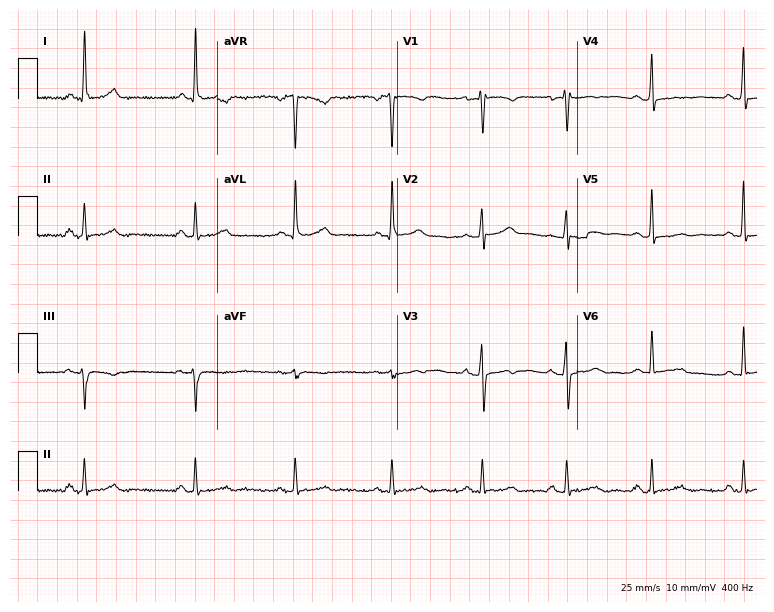
Resting 12-lead electrocardiogram. Patient: a woman, 51 years old. None of these six findings is recorded: first-degree AV block, right bundle branch block, left bundle branch block, sinus bradycardia, atrial fibrillation, sinus tachycardia.